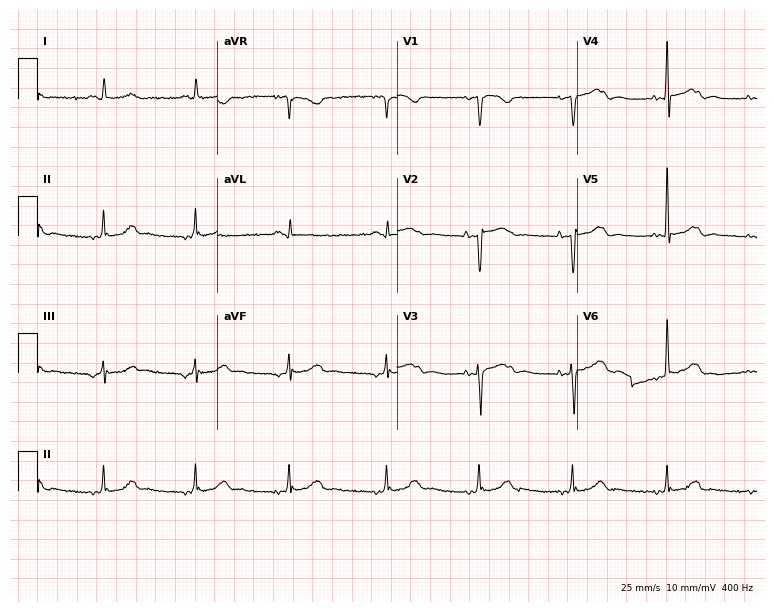
Standard 12-lead ECG recorded from a woman, 80 years old. None of these six findings is recorded: first-degree AV block, right bundle branch block, left bundle branch block, sinus bradycardia, atrial fibrillation, sinus tachycardia. Other findings, if any, are not listed.